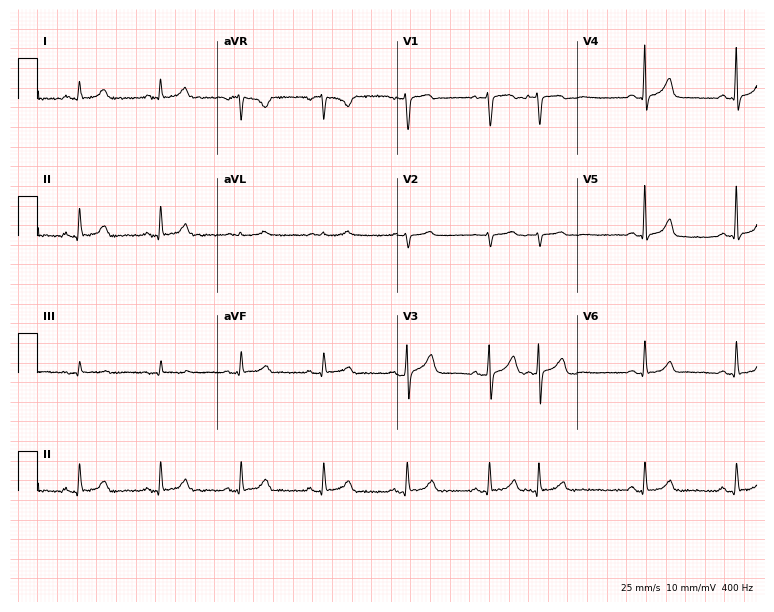
ECG — a male, 72 years old. Labelled as a normal ECG.